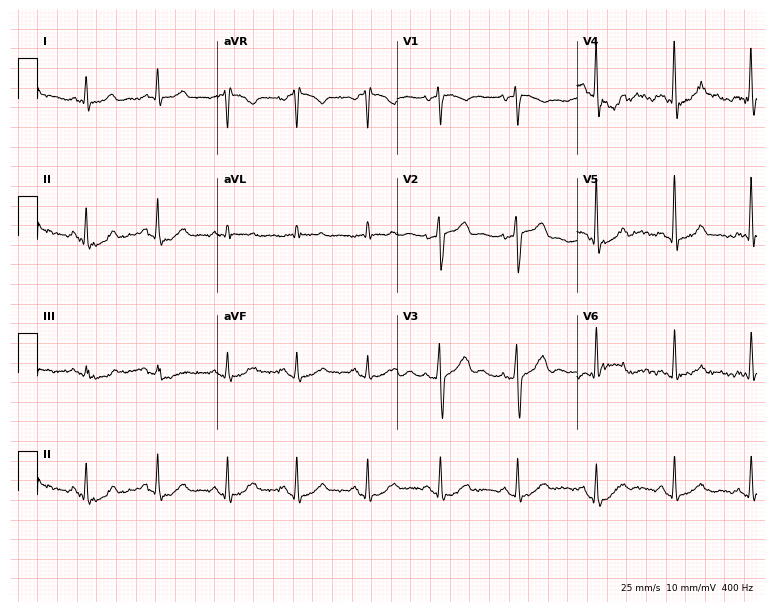
Electrocardiogram, a man, 42 years old. Of the six screened findings (first-degree AV block, right bundle branch block (RBBB), left bundle branch block (LBBB), sinus bradycardia, atrial fibrillation (AF), sinus tachycardia), none is recorded.